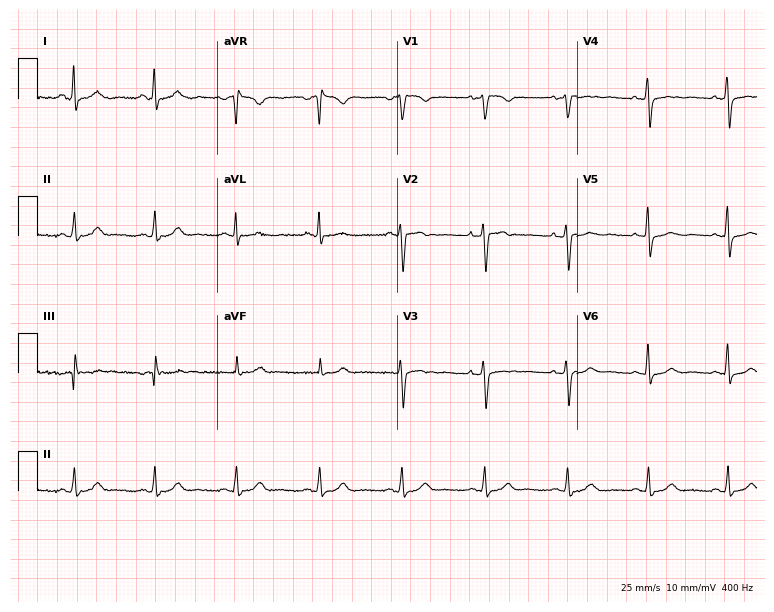
12-lead ECG from a 60-year-old female. Screened for six findings — first-degree AV block, right bundle branch block, left bundle branch block, sinus bradycardia, atrial fibrillation, sinus tachycardia — none is recorded. Other findings, if any, are not listed.